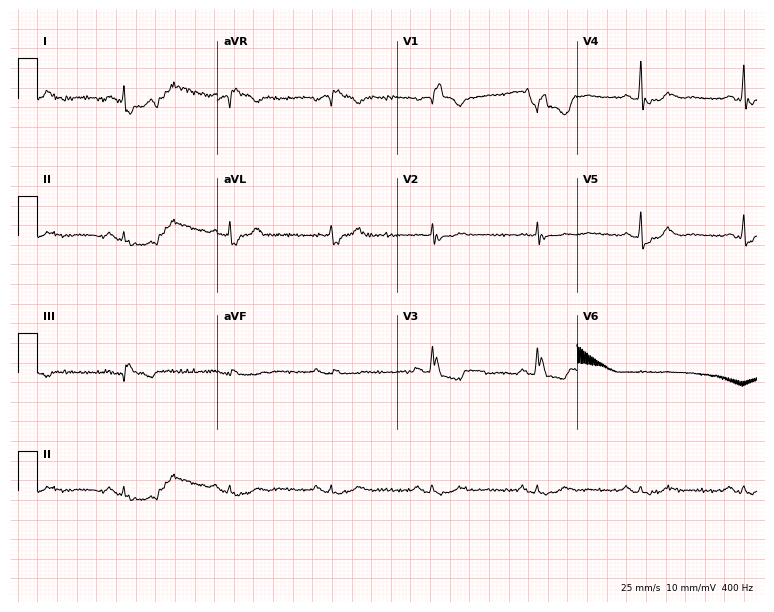
Standard 12-lead ECG recorded from a man, 78 years old (7.3-second recording at 400 Hz). The tracing shows atrial fibrillation.